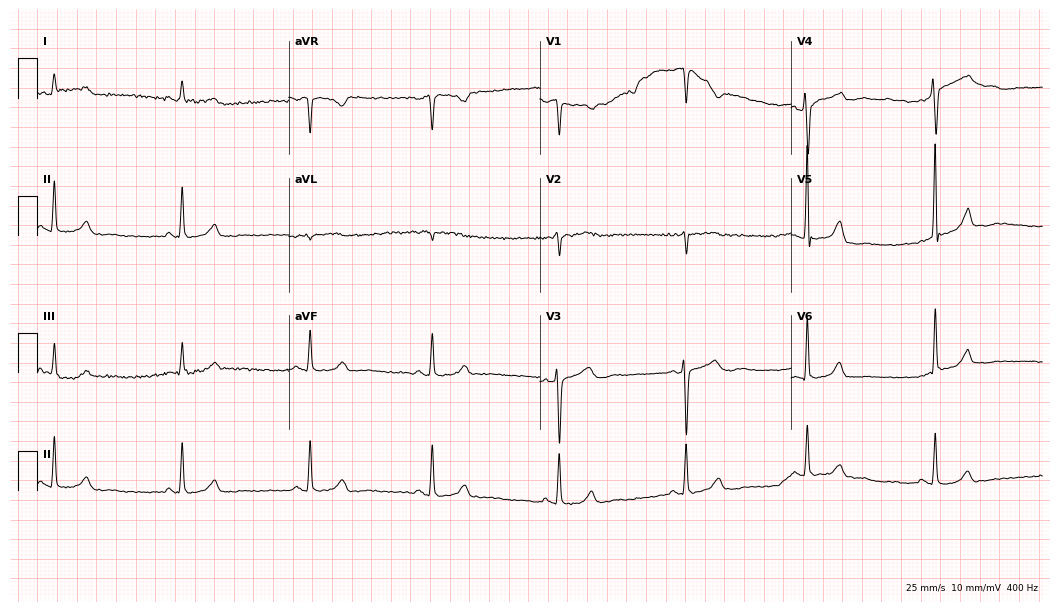
12-lead ECG from a 50-year-old woman. Shows sinus bradycardia (a sinus rate of 50 beats per minute or less).